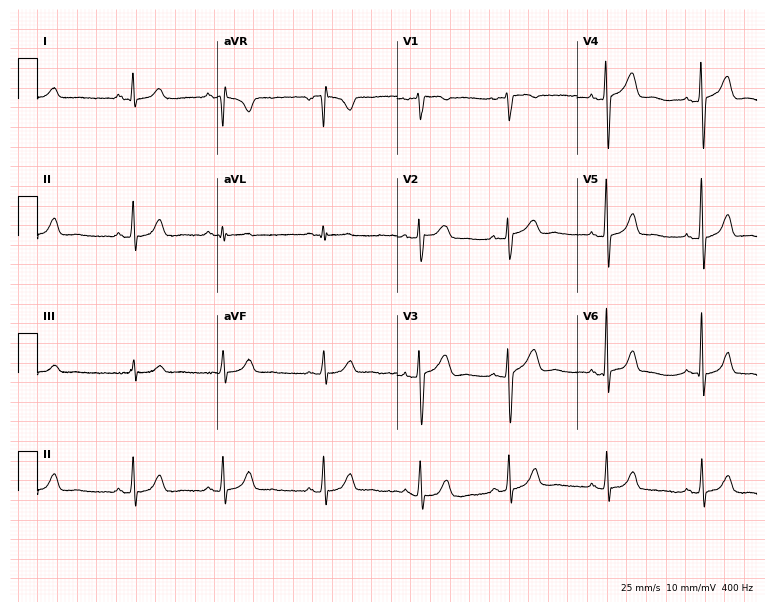
Standard 12-lead ECG recorded from a 28-year-old woman. Read as a normal ECG.